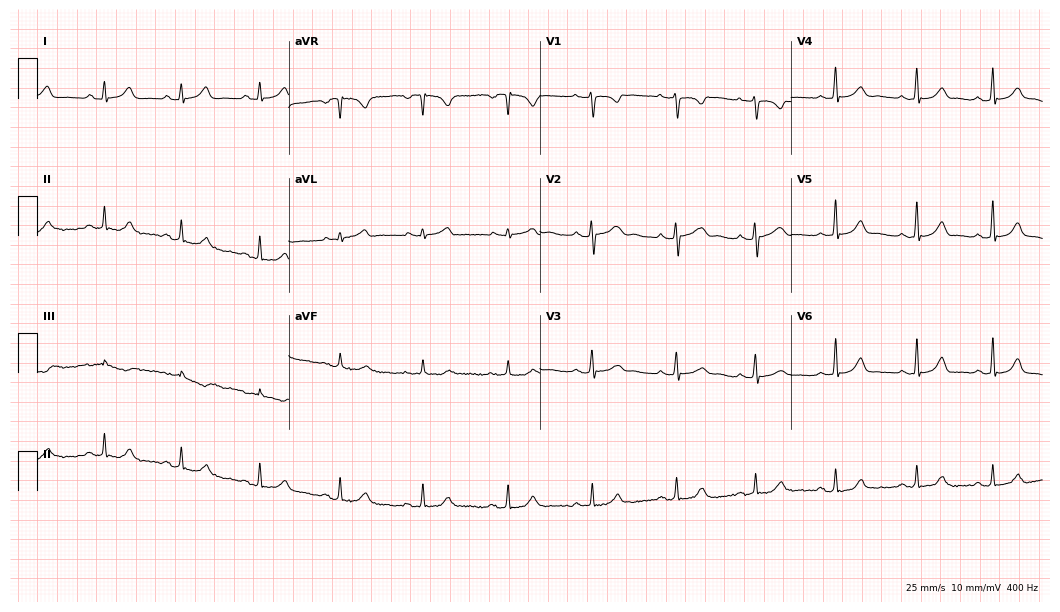
12-lead ECG from a female patient, 29 years old. Recorded interpretation: within normal limits.